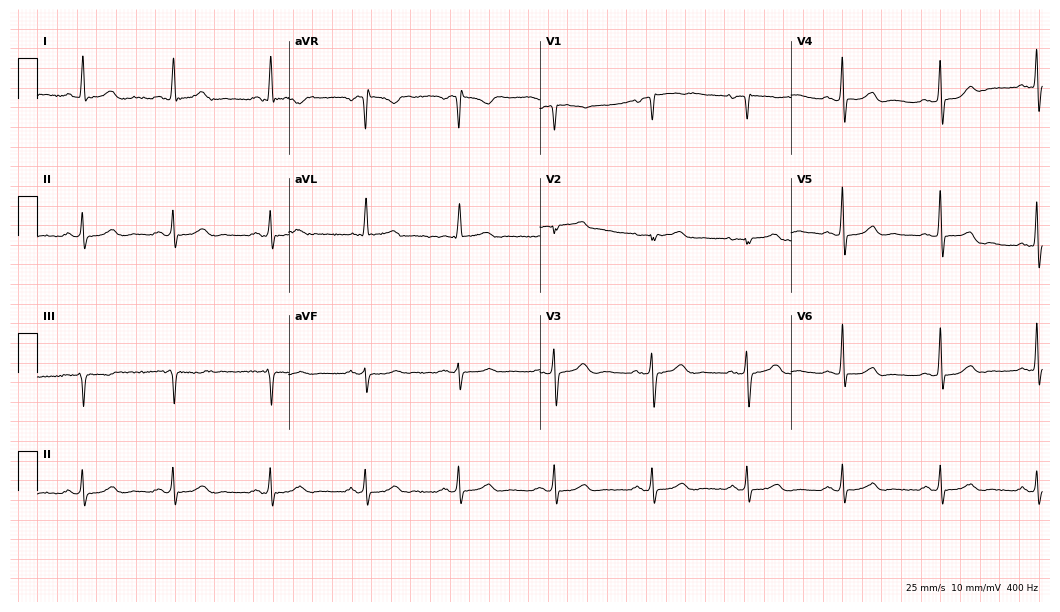
12-lead ECG from a female, 62 years old. No first-degree AV block, right bundle branch block, left bundle branch block, sinus bradycardia, atrial fibrillation or sinus tachycardia recorded for this tracing. Findings outside these six are not listed.